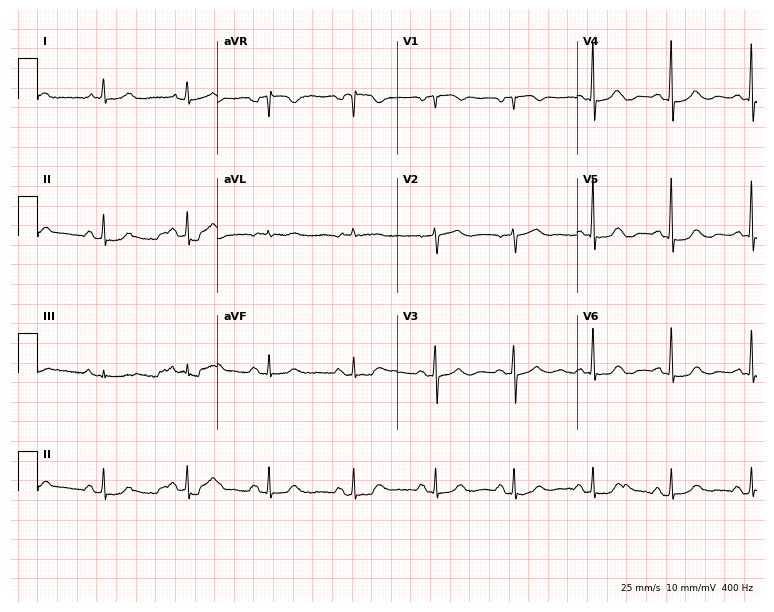
Standard 12-lead ECG recorded from a 70-year-old woman (7.3-second recording at 400 Hz). Read as a normal ECG.